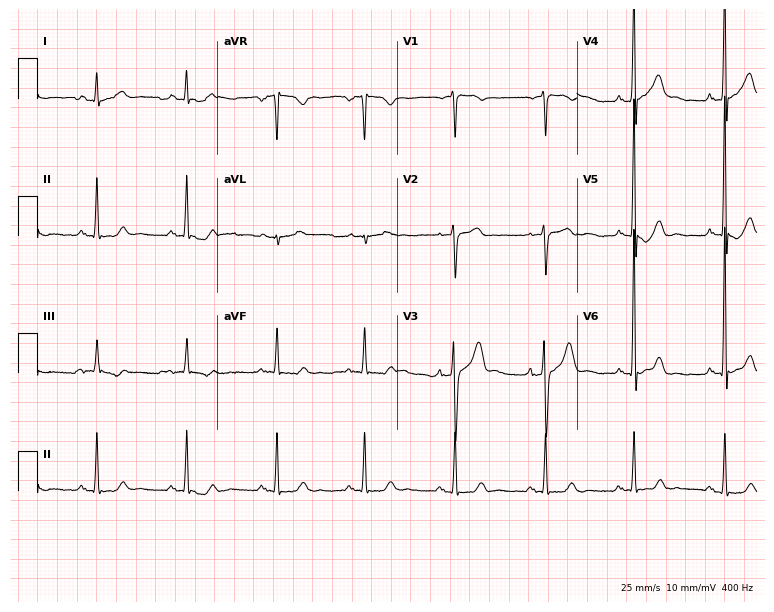
12-lead ECG from a 57-year-old man (7.3-second recording at 400 Hz). Recorded interpretation: within normal limits.